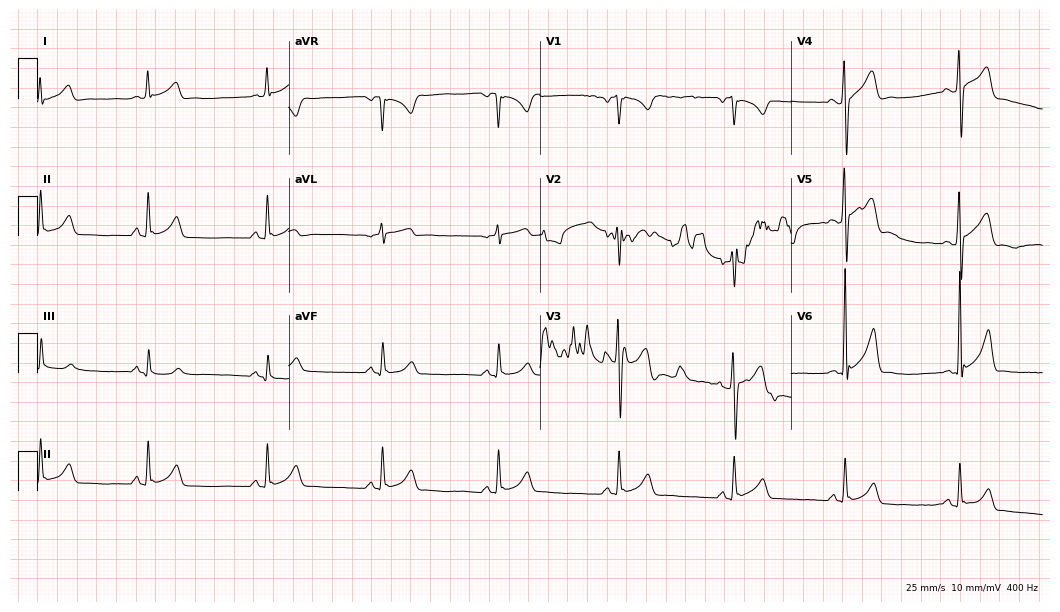
12-lead ECG (10.2-second recording at 400 Hz) from a man, 25 years old. Screened for six findings — first-degree AV block, right bundle branch block (RBBB), left bundle branch block (LBBB), sinus bradycardia, atrial fibrillation (AF), sinus tachycardia — none is recorded.